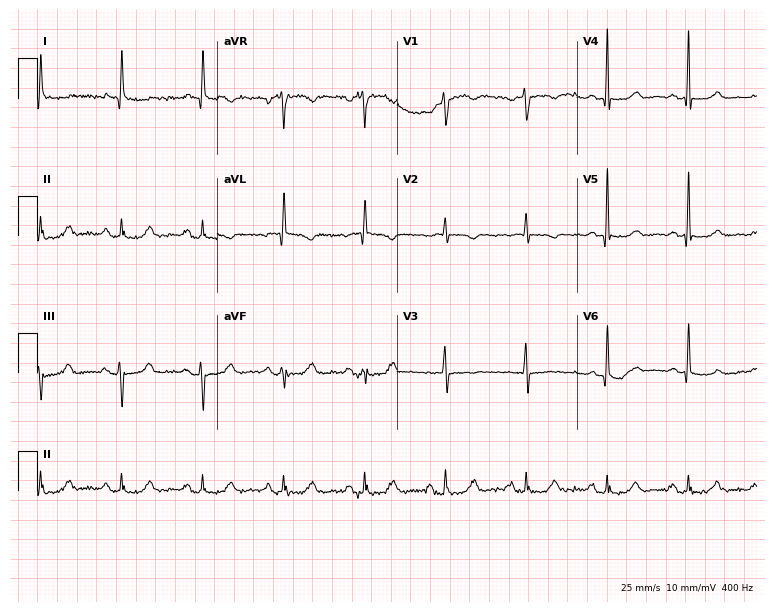
12-lead ECG from a 79-year-old female. No first-degree AV block, right bundle branch block, left bundle branch block, sinus bradycardia, atrial fibrillation or sinus tachycardia recorded for this tracing. Only these six findings were labelled.